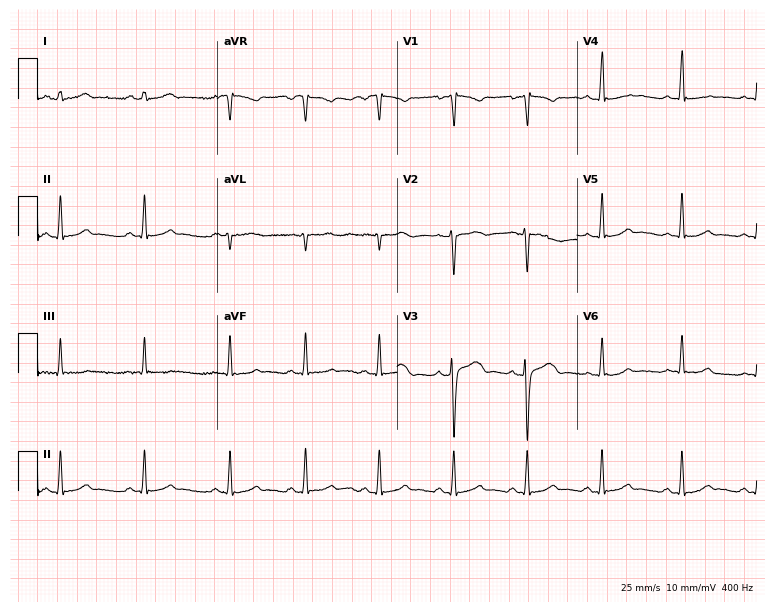
Standard 12-lead ECG recorded from a female patient, 21 years old (7.3-second recording at 400 Hz). Read as a normal ECG.